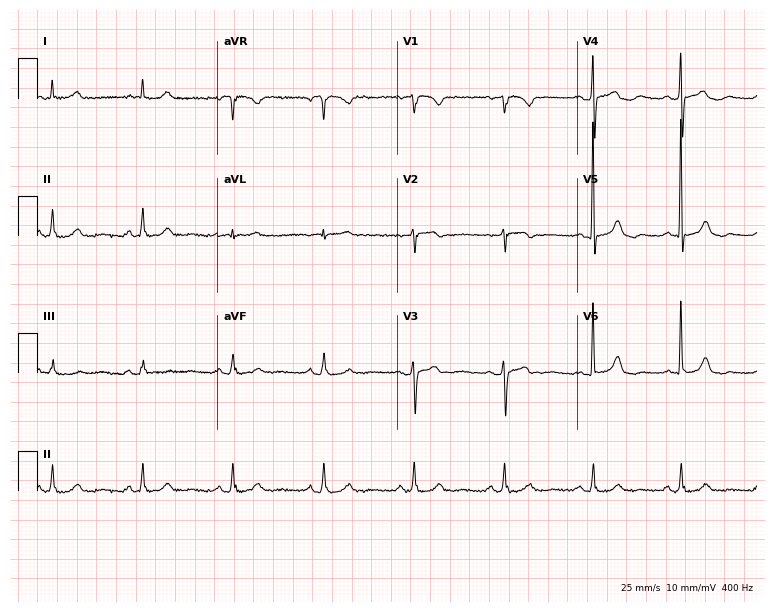
12-lead ECG from a female, 69 years old. No first-degree AV block, right bundle branch block (RBBB), left bundle branch block (LBBB), sinus bradycardia, atrial fibrillation (AF) or sinus tachycardia recorded for this tracing. Other findings, if any, are not listed.